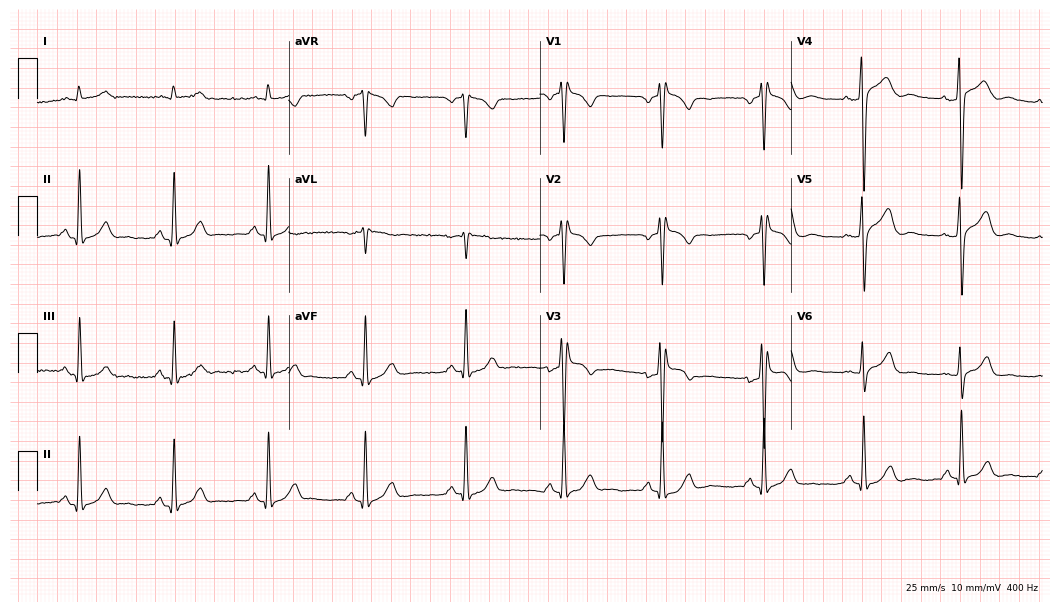
Electrocardiogram (10.2-second recording at 400 Hz), a man, 40 years old. Interpretation includes right bundle branch block.